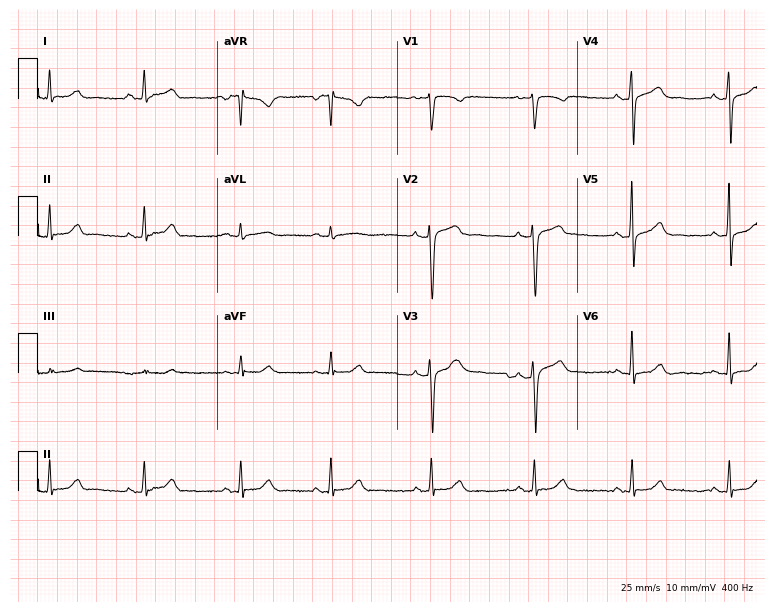
ECG (7.3-second recording at 400 Hz) — a female patient, 28 years old. Screened for six findings — first-degree AV block, right bundle branch block (RBBB), left bundle branch block (LBBB), sinus bradycardia, atrial fibrillation (AF), sinus tachycardia — none is recorded. Other findings, if any, are not listed.